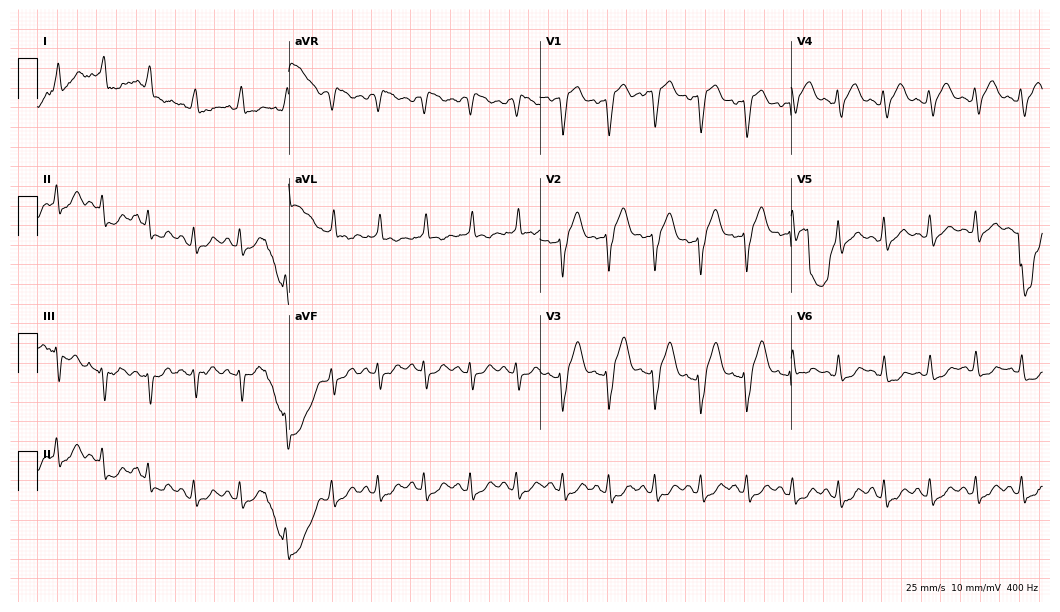
12-lead ECG from a 66-year-old male patient. Findings include sinus tachycardia (a sinus rate of 100 beats per minute or more).